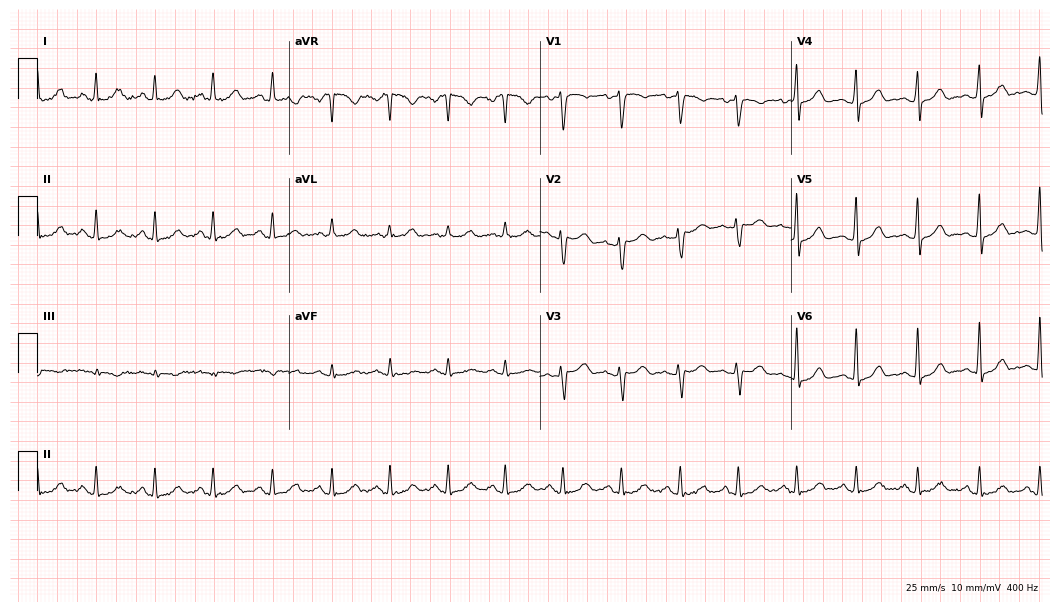
Standard 12-lead ECG recorded from a female, 44 years old (10.2-second recording at 400 Hz). None of these six findings is recorded: first-degree AV block, right bundle branch block (RBBB), left bundle branch block (LBBB), sinus bradycardia, atrial fibrillation (AF), sinus tachycardia.